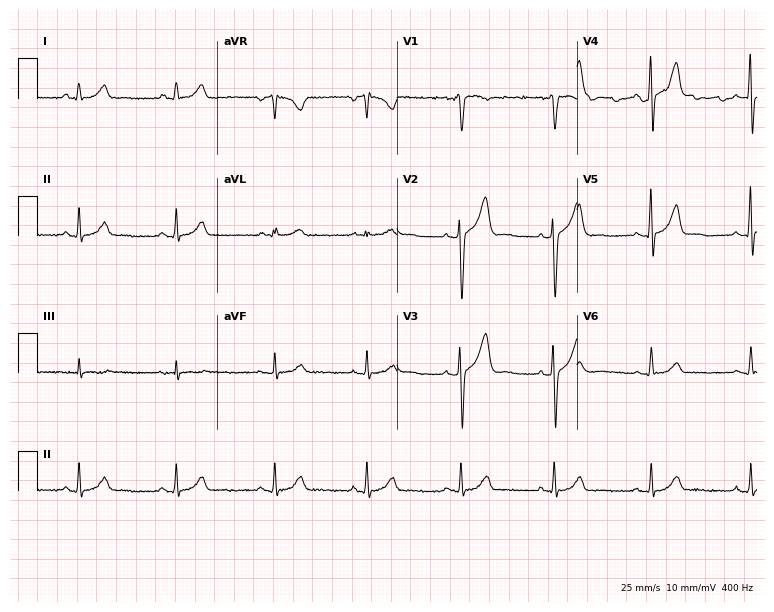
Electrocardiogram (7.3-second recording at 400 Hz), a 48-year-old man. Overall reading on record: normal ECG.